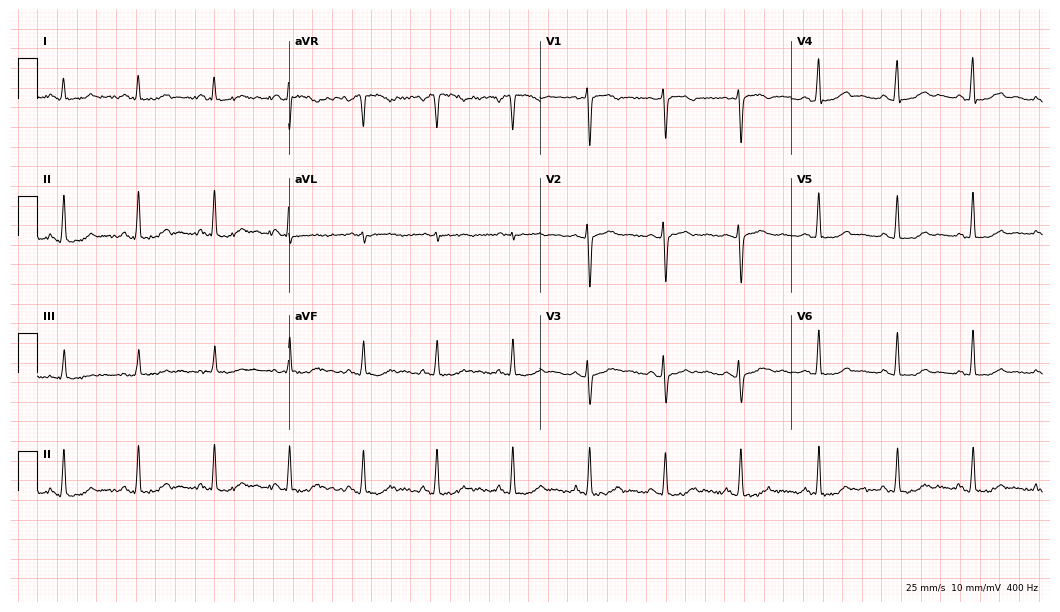
Electrocardiogram, a female, 50 years old. Of the six screened findings (first-degree AV block, right bundle branch block, left bundle branch block, sinus bradycardia, atrial fibrillation, sinus tachycardia), none is recorded.